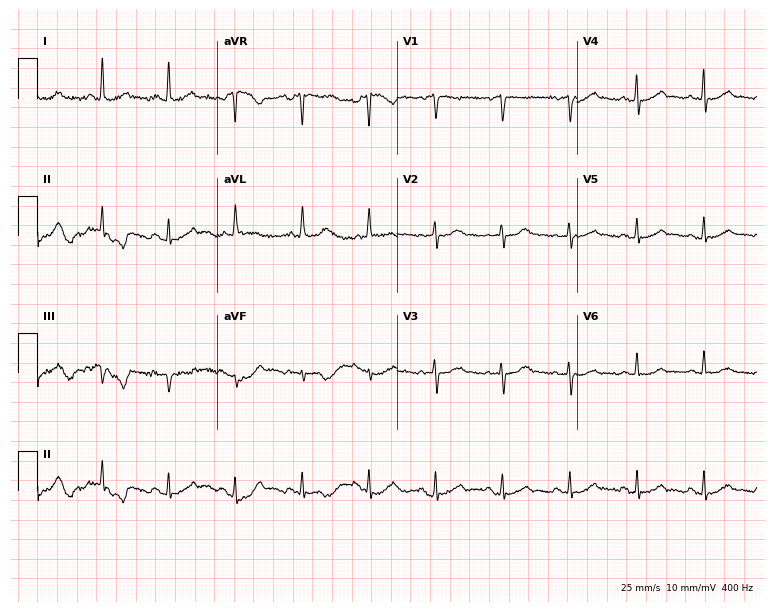
12-lead ECG from a female, 65 years old (7.3-second recording at 400 Hz). Recorded interpretation: within normal limits.